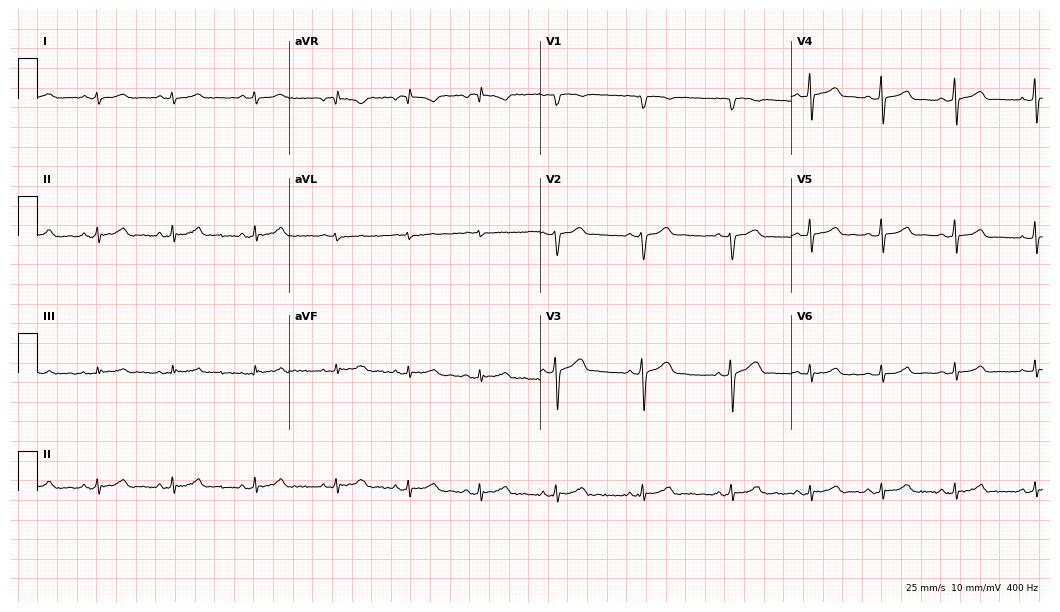
Standard 12-lead ECG recorded from a female, 18 years old (10.2-second recording at 400 Hz). Read as a normal ECG.